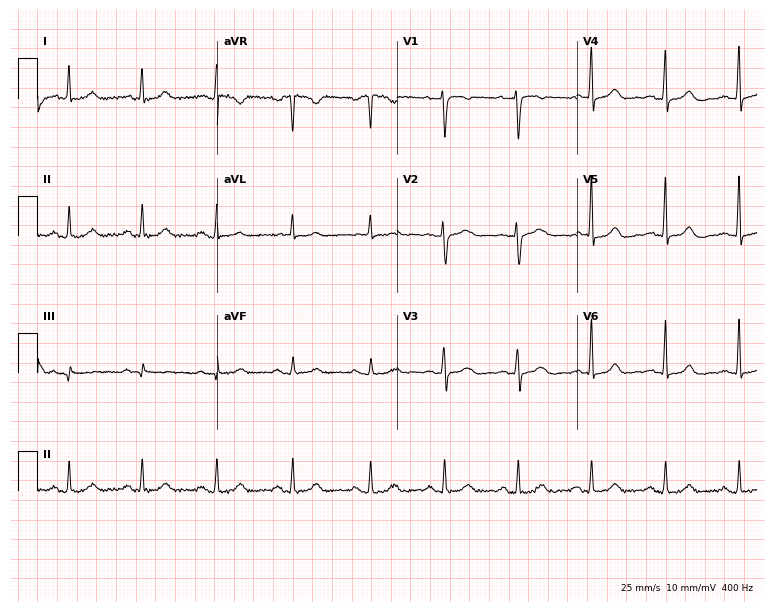
Electrocardiogram (7.3-second recording at 400 Hz), a woman, 37 years old. Overall reading on record: normal ECG.